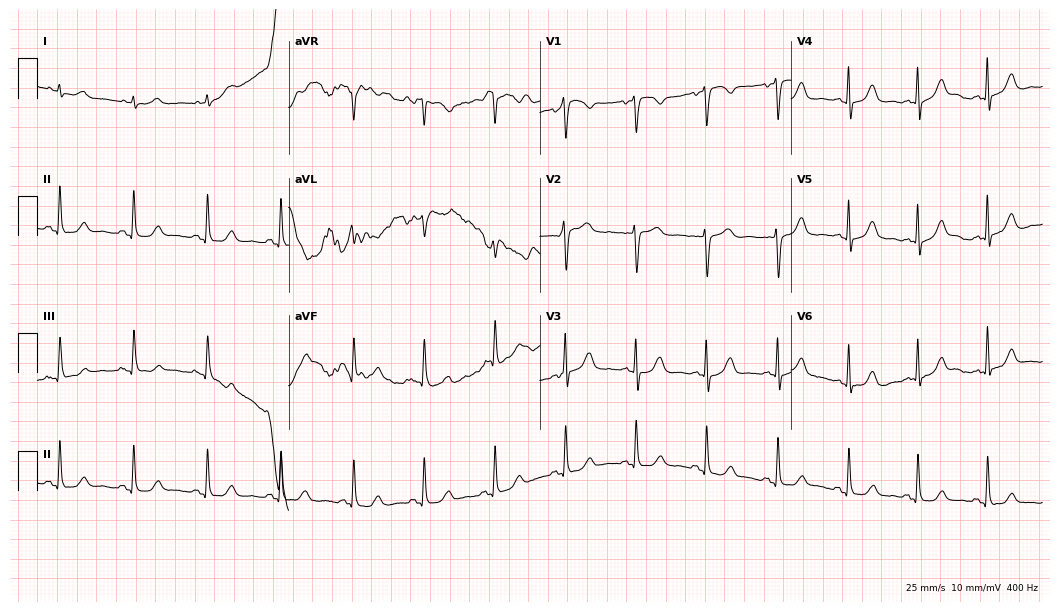
Electrocardiogram (10.2-second recording at 400 Hz), a female patient, 74 years old. Overall reading on record: normal ECG.